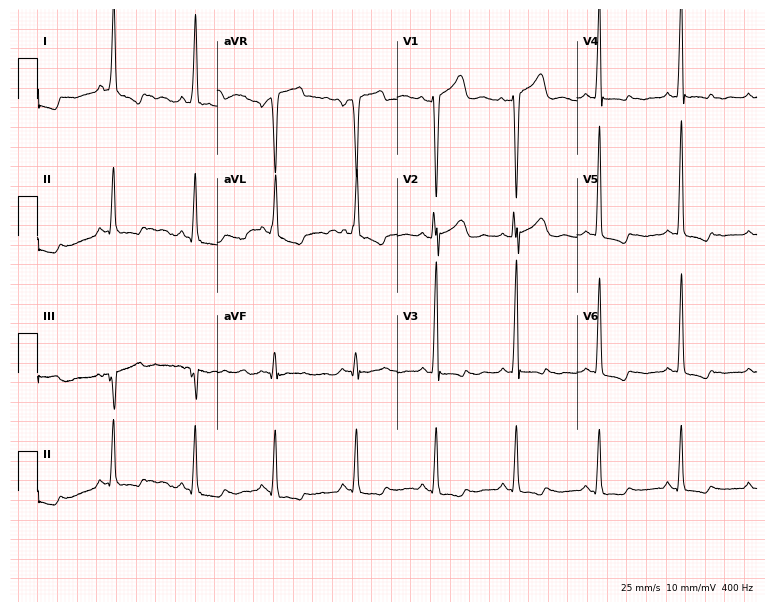
Standard 12-lead ECG recorded from a 52-year-old woman (7.3-second recording at 400 Hz). None of these six findings is recorded: first-degree AV block, right bundle branch block, left bundle branch block, sinus bradycardia, atrial fibrillation, sinus tachycardia.